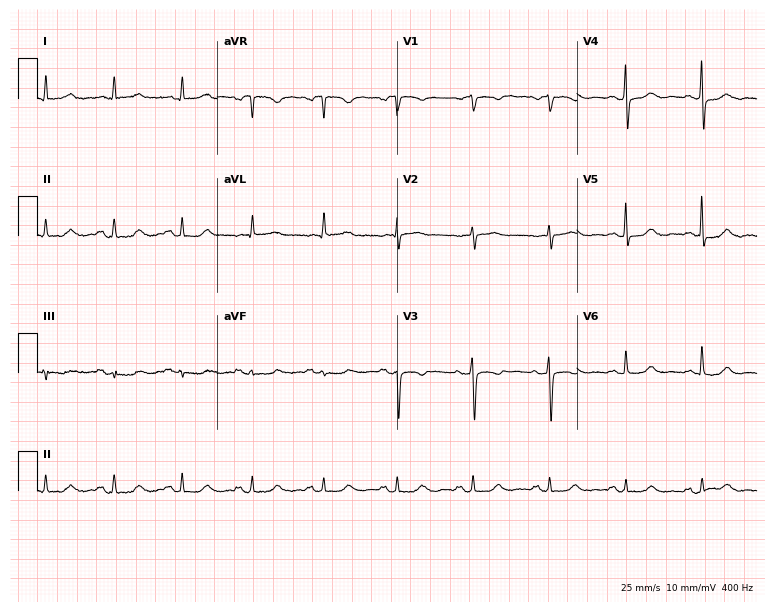
Resting 12-lead electrocardiogram. Patient: a 66-year-old woman. None of these six findings is recorded: first-degree AV block, right bundle branch block (RBBB), left bundle branch block (LBBB), sinus bradycardia, atrial fibrillation (AF), sinus tachycardia.